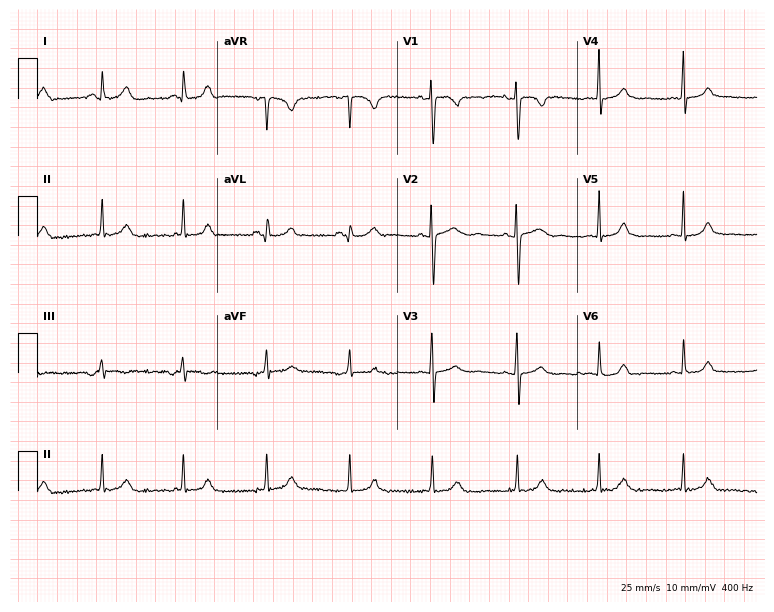
Resting 12-lead electrocardiogram (7.3-second recording at 400 Hz). Patient: a woman, 22 years old. None of these six findings is recorded: first-degree AV block, right bundle branch block, left bundle branch block, sinus bradycardia, atrial fibrillation, sinus tachycardia.